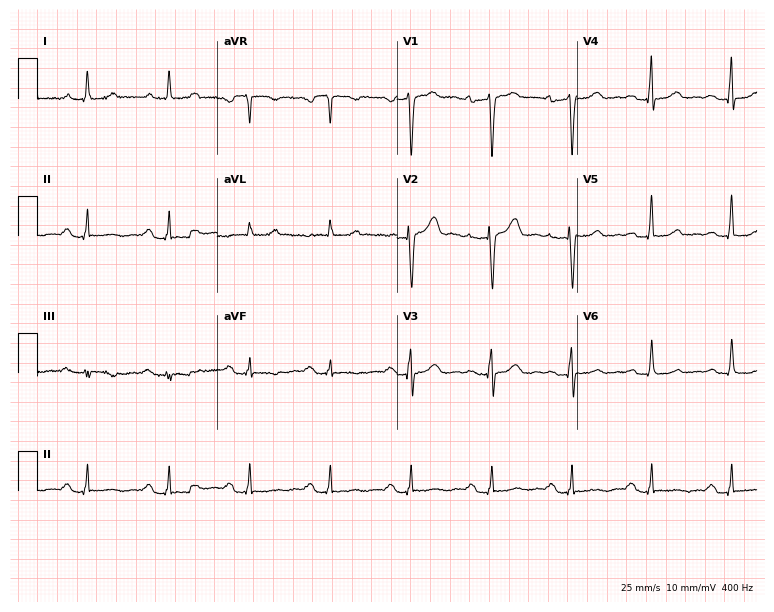
ECG (7.3-second recording at 400 Hz) — a female patient, 38 years old. Screened for six findings — first-degree AV block, right bundle branch block (RBBB), left bundle branch block (LBBB), sinus bradycardia, atrial fibrillation (AF), sinus tachycardia — none is recorded. Findings outside these six are not listed.